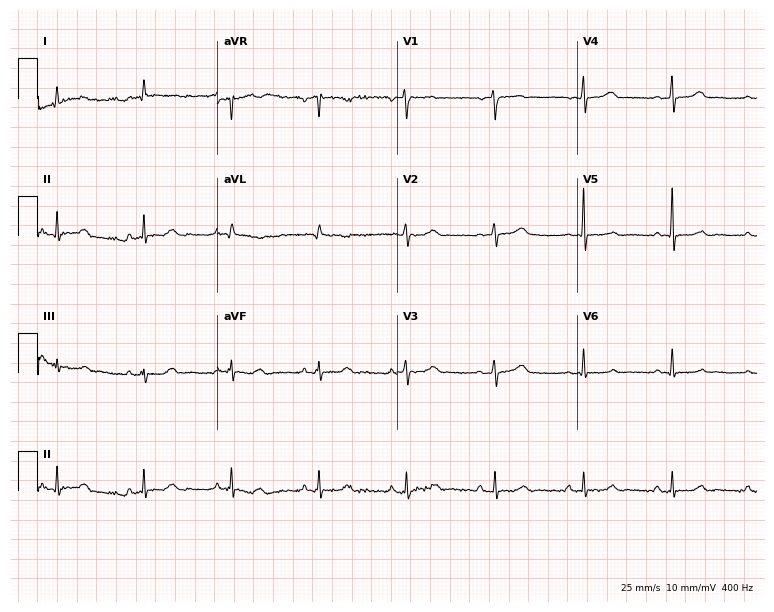
12-lead ECG from a 76-year-old male patient. Recorded interpretation: within normal limits.